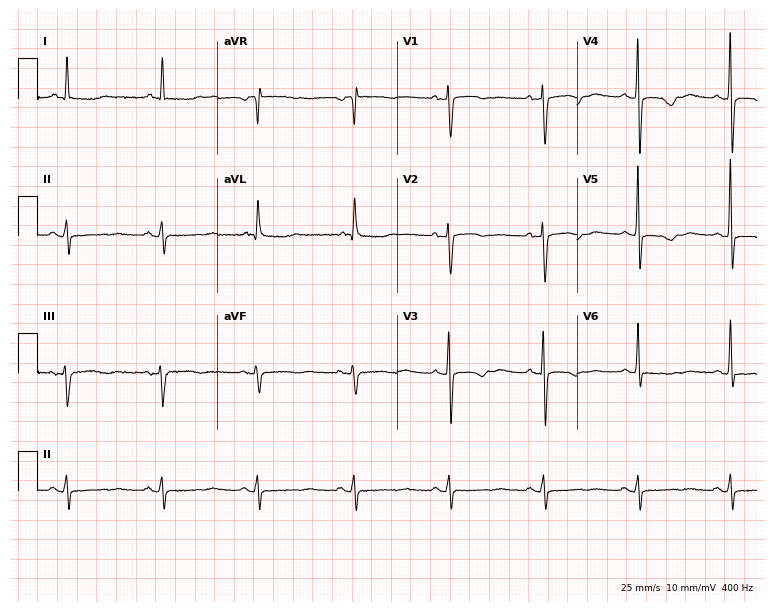
12-lead ECG from a 71-year-old female. No first-degree AV block, right bundle branch block, left bundle branch block, sinus bradycardia, atrial fibrillation or sinus tachycardia recorded for this tracing.